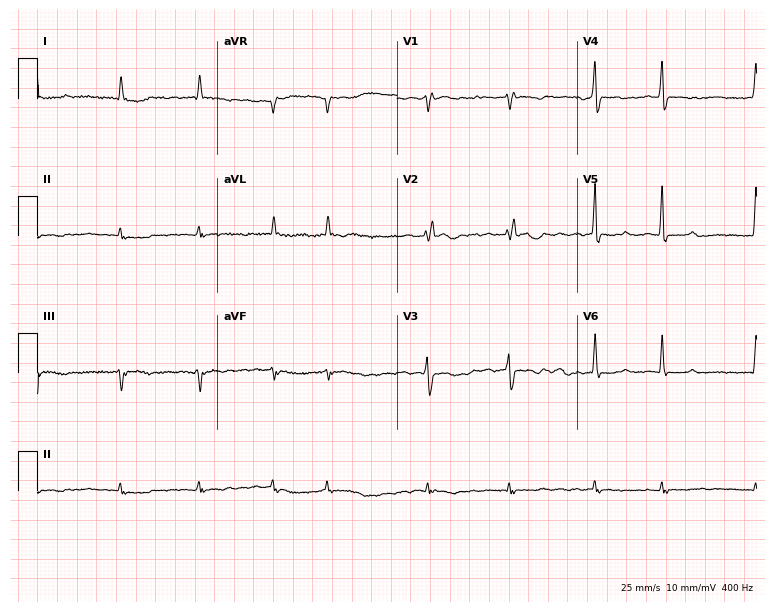
Electrocardiogram, a male, 64 years old. Of the six screened findings (first-degree AV block, right bundle branch block, left bundle branch block, sinus bradycardia, atrial fibrillation, sinus tachycardia), none is recorded. Only these six findings were labelled.